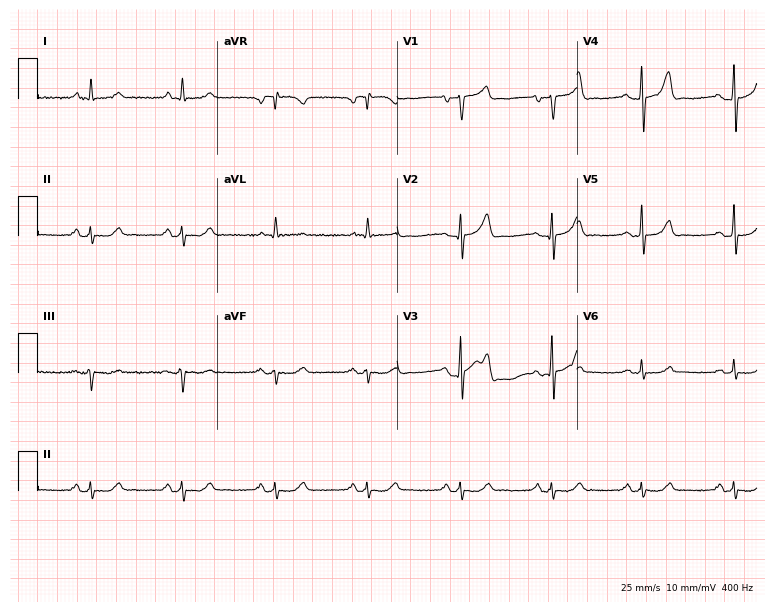
ECG — a 66-year-old male patient. Labelled as a normal ECG.